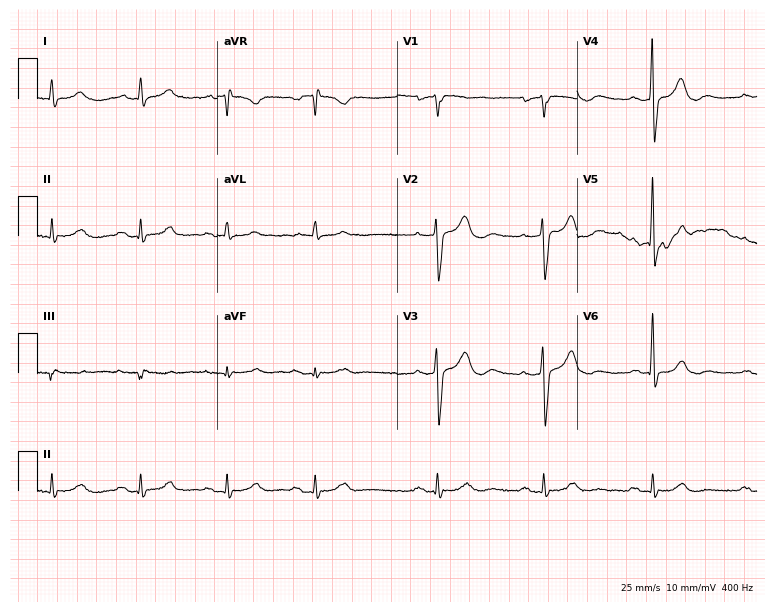
Resting 12-lead electrocardiogram. Patient: a male, 68 years old. None of these six findings is recorded: first-degree AV block, right bundle branch block, left bundle branch block, sinus bradycardia, atrial fibrillation, sinus tachycardia.